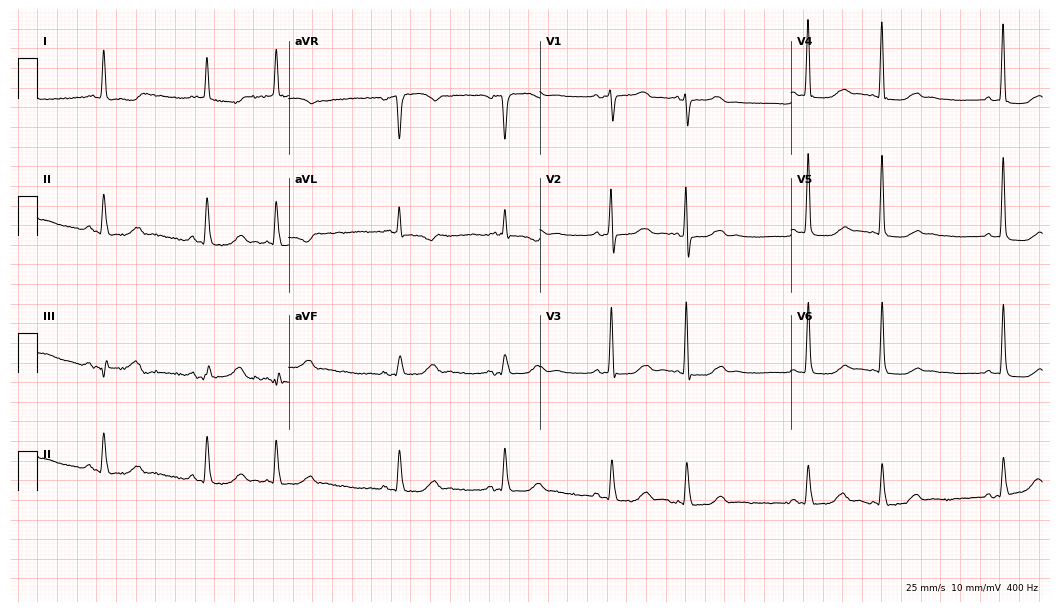
Standard 12-lead ECG recorded from a female patient, 83 years old. None of these six findings is recorded: first-degree AV block, right bundle branch block, left bundle branch block, sinus bradycardia, atrial fibrillation, sinus tachycardia. Only these six findings were labelled.